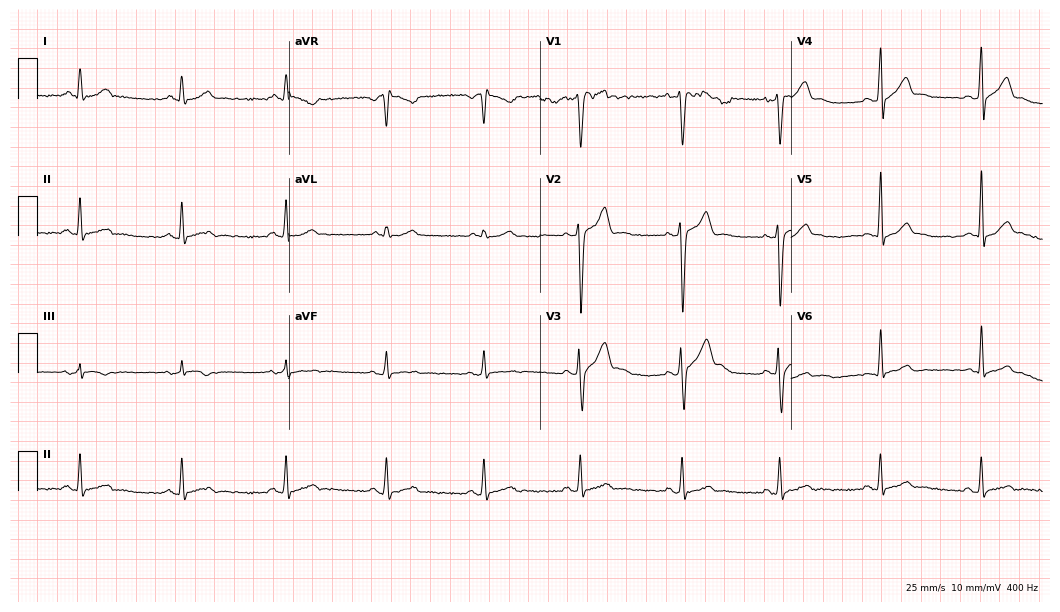
ECG (10.2-second recording at 400 Hz) — a man, 29 years old. Labelled as a normal ECG.